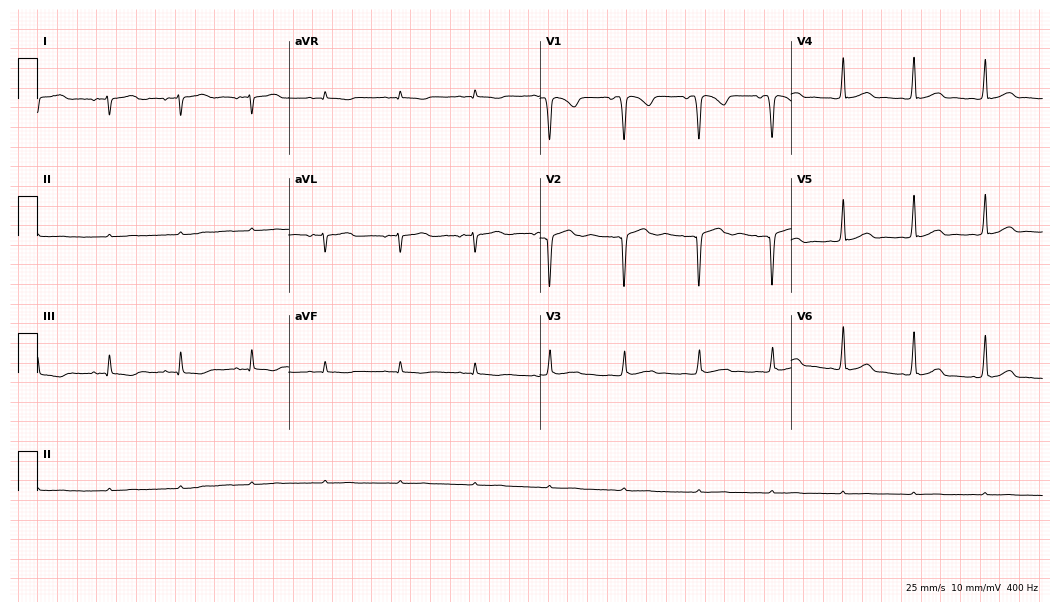
Resting 12-lead electrocardiogram (10.2-second recording at 400 Hz). Patient: a female, 32 years old. None of these six findings is recorded: first-degree AV block, right bundle branch block, left bundle branch block, sinus bradycardia, atrial fibrillation, sinus tachycardia. Findings outside these six are not listed.